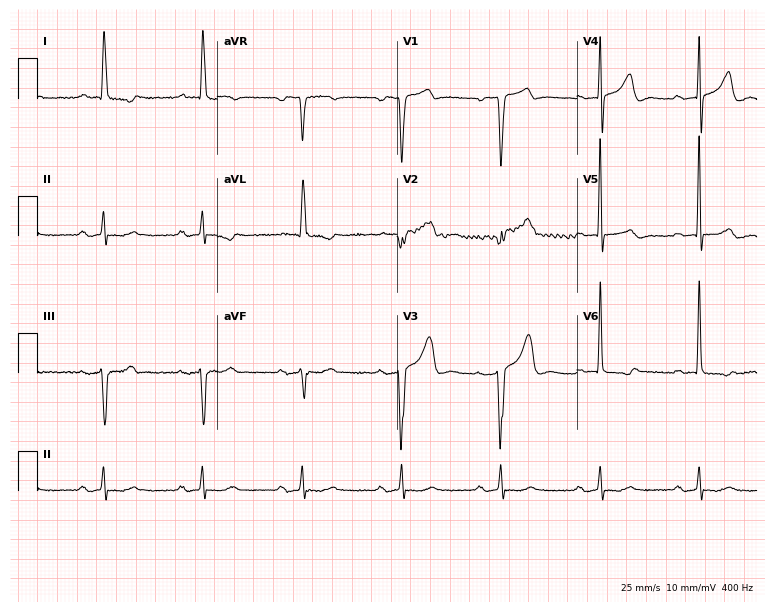
Electrocardiogram, an 80-year-old male. Of the six screened findings (first-degree AV block, right bundle branch block, left bundle branch block, sinus bradycardia, atrial fibrillation, sinus tachycardia), none is recorded. Findings outside these six are not listed.